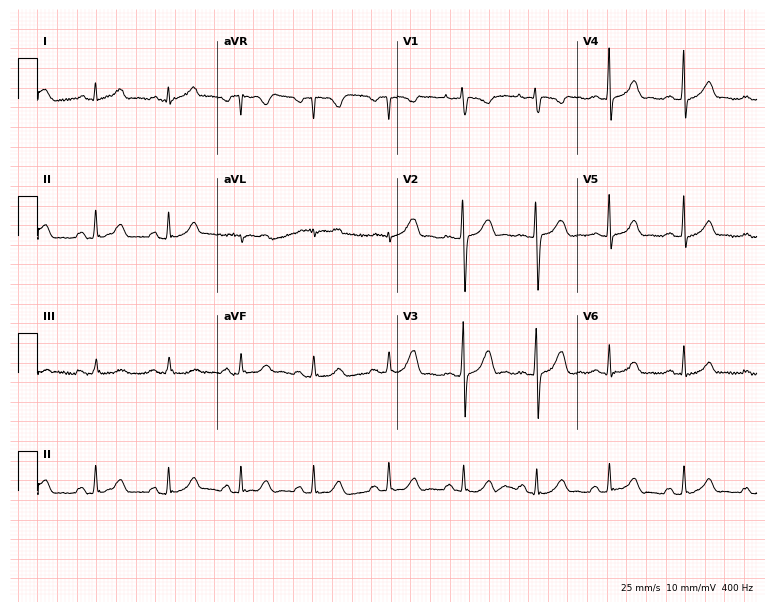
ECG — a 21-year-old female. Labelled as a normal ECG.